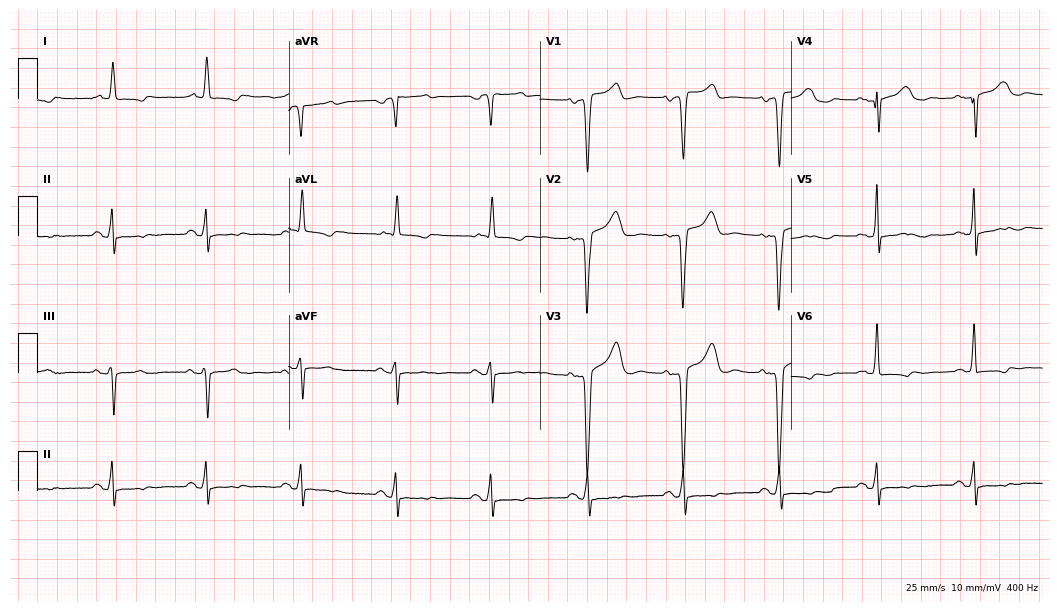
Electrocardiogram, a 74-year-old female. Of the six screened findings (first-degree AV block, right bundle branch block (RBBB), left bundle branch block (LBBB), sinus bradycardia, atrial fibrillation (AF), sinus tachycardia), none is recorded. Only these six findings were labelled.